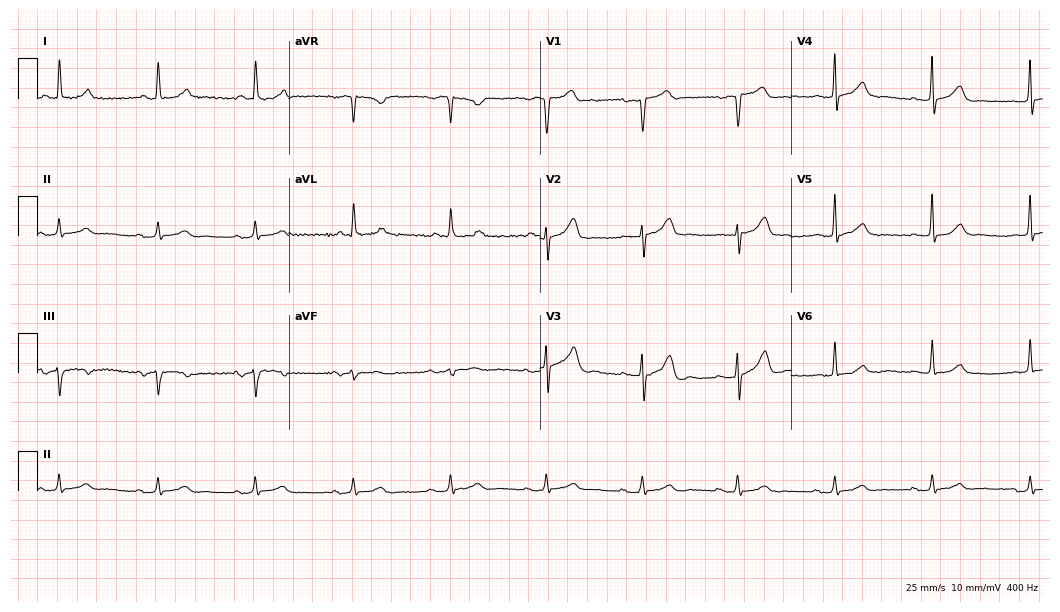
Electrocardiogram (10.2-second recording at 400 Hz), a male patient, 66 years old. Overall reading on record: normal ECG.